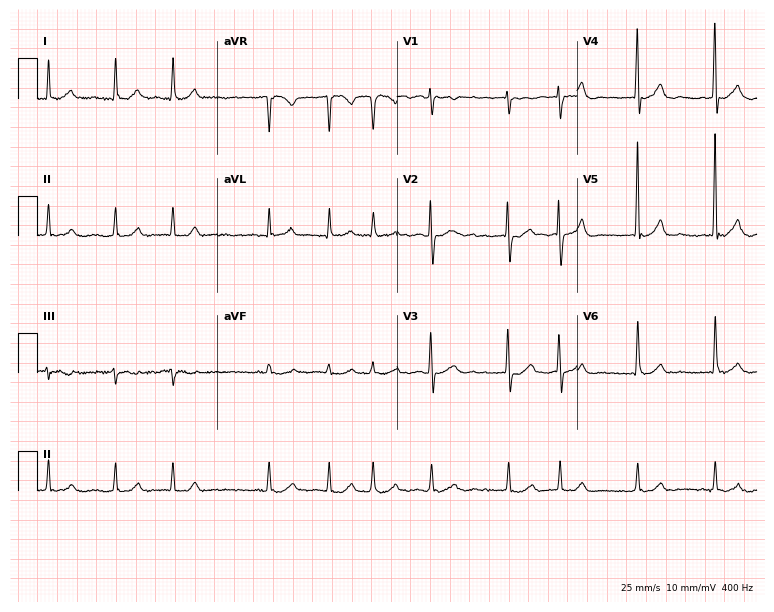
12-lead ECG from an 86-year-old female. Findings include atrial fibrillation (AF).